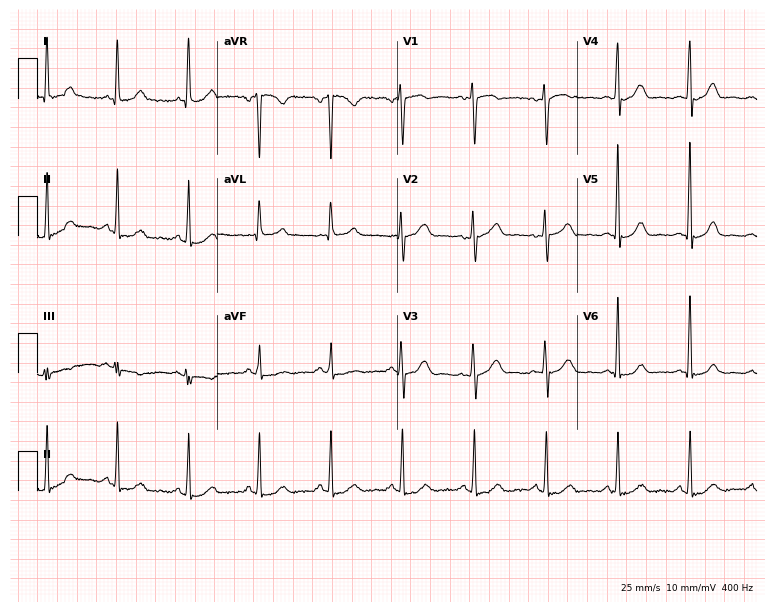
ECG — a 55-year-old female. Labelled as a normal ECG.